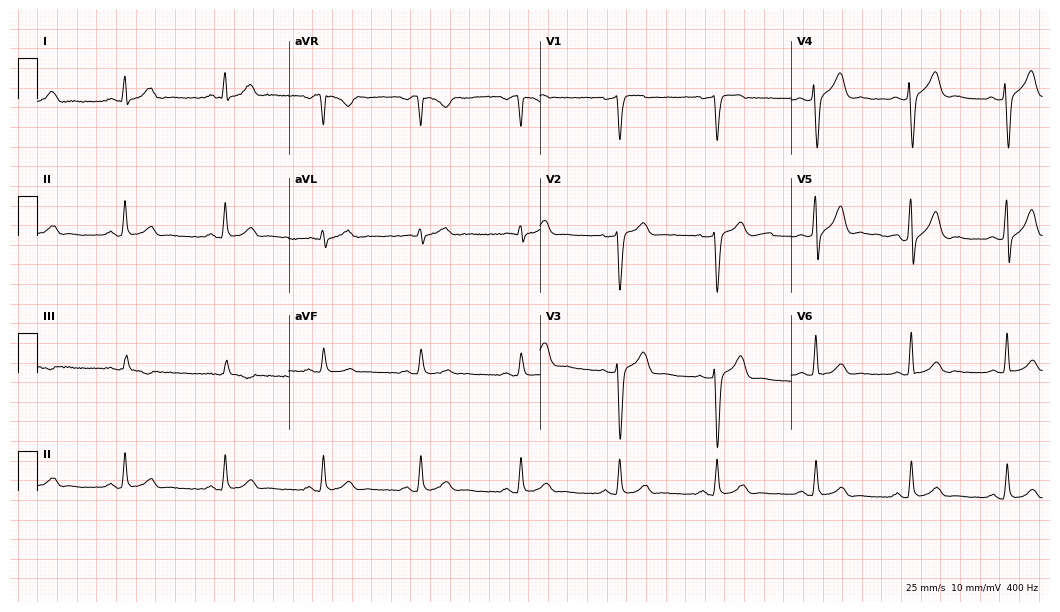
12-lead ECG from a man, 39 years old (10.2-second recording at 400 Hz). Recorded interpretation: within normal limits.